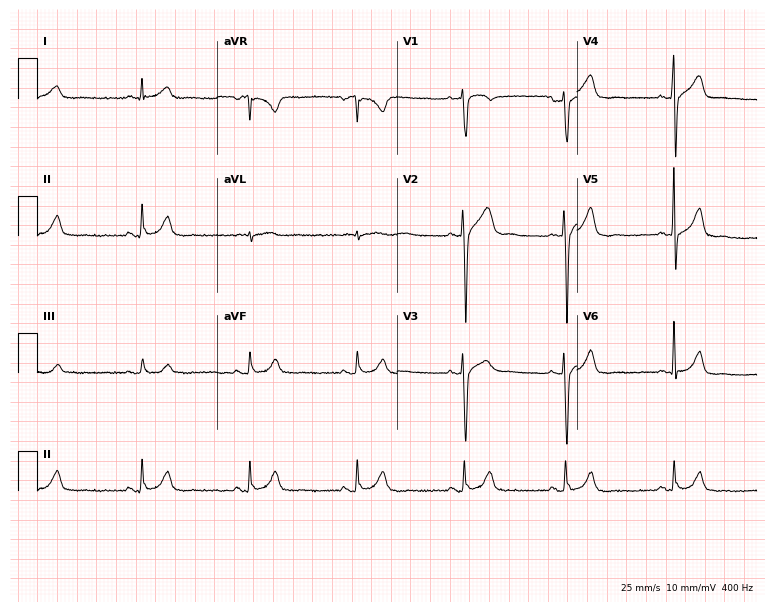
Resting 12-lead electrocardiogram. Patient: a male, 40 years old. Read as a normal ECG.